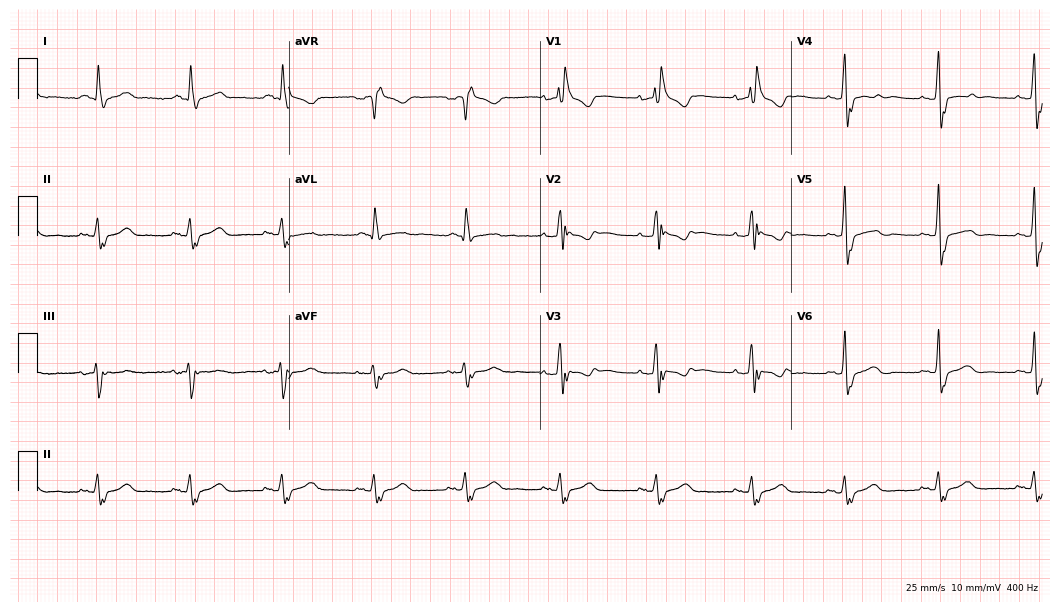
12-lead ECG from a woman, 59 years old. Shows right bundle branch block (RBBB).